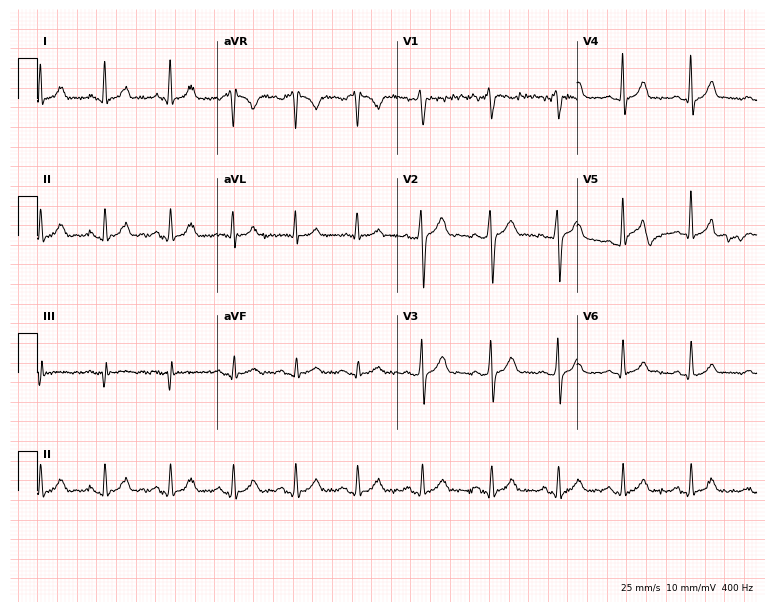
Resting 12-lead electrocardiogram (7.3-second recording at 400 Hz). Patient: a female, 26 years old. Read as a normal ECG.